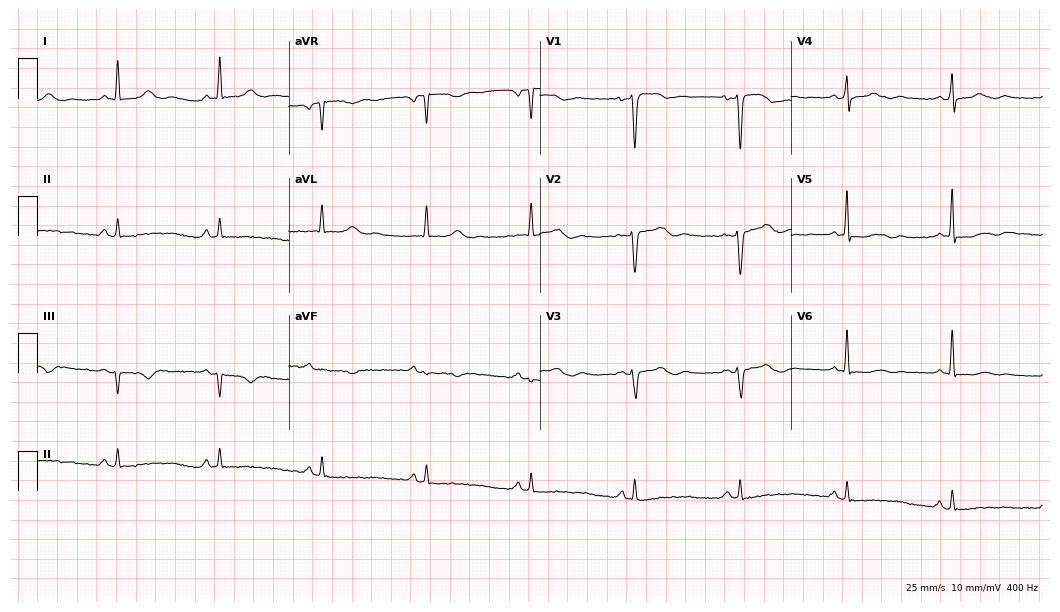
Electrocardiogram (10.2-second recording at 400 Hz), a woman, 47 years old. Of the six screened findings (first-degree AV block, right bundle branch block (RBBB), left bundle branch block (LBBB), sinus bradycardia, atrial fibrillation (AF), sinus tachycardia), none is recorded.